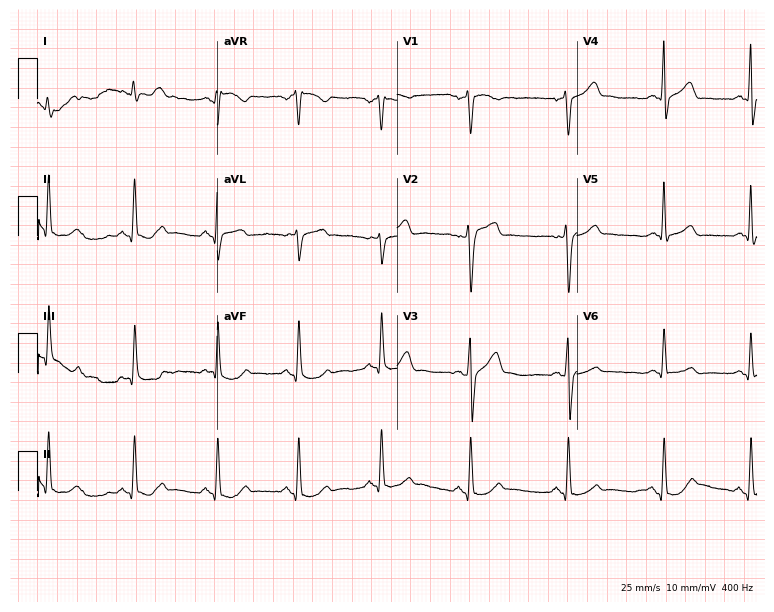
12-lead ECG from a male patient, 28 years old (7.3-second recording at 400 Hz). Recorded interpretation: within normal limits.